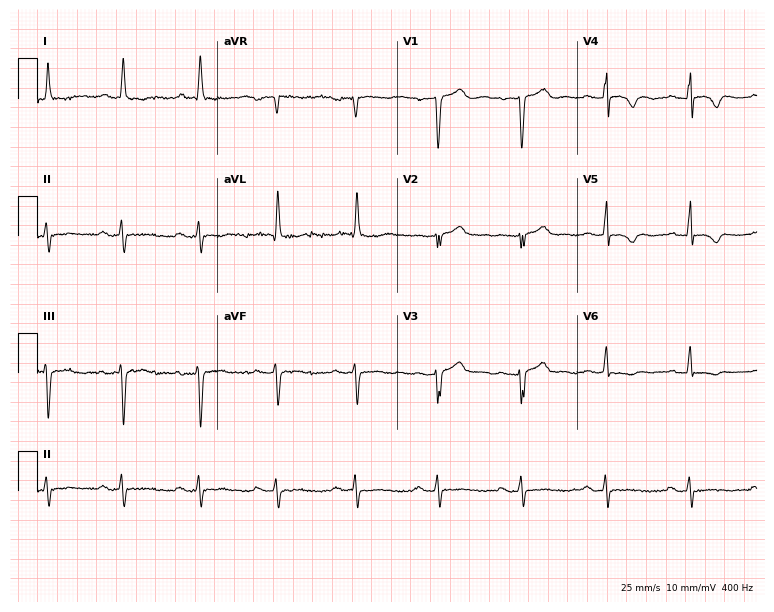
Standard 12-lead ECG recorded from a female patient, 71 years old. None of these six findings is recorded: first-degree AV block, right bundle branch block (RBBB), left bundle branch block (LBBB), sinus bradycardia, atrial fibrillation (AF), sinus tachycardia.